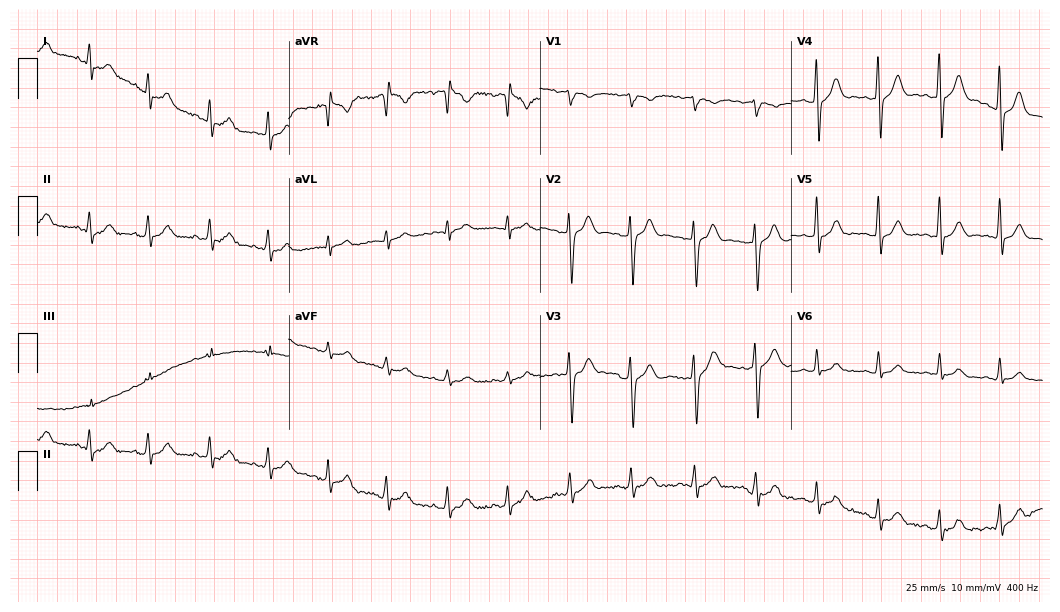
Resting 12-lead electrocardiogram (10.2-second recording at 400 Hz). Patient: a 26-year-old male. Read as a normal ECG.